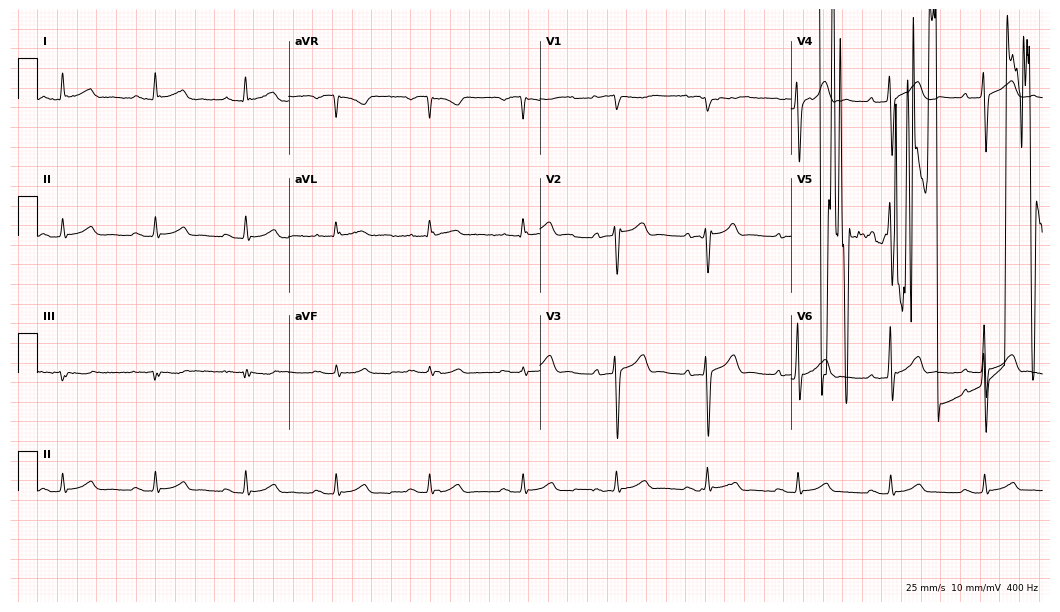
Resting 12-lead electrocardiogram. Patient: a man, 73 years old. None of these six findings is recorded: first-degree AV block, right bundle branch block, left bundle branch block, sinus bradycardia, atrial fibrillation, sinus tachycardia. Other findings, if any, are not listed.